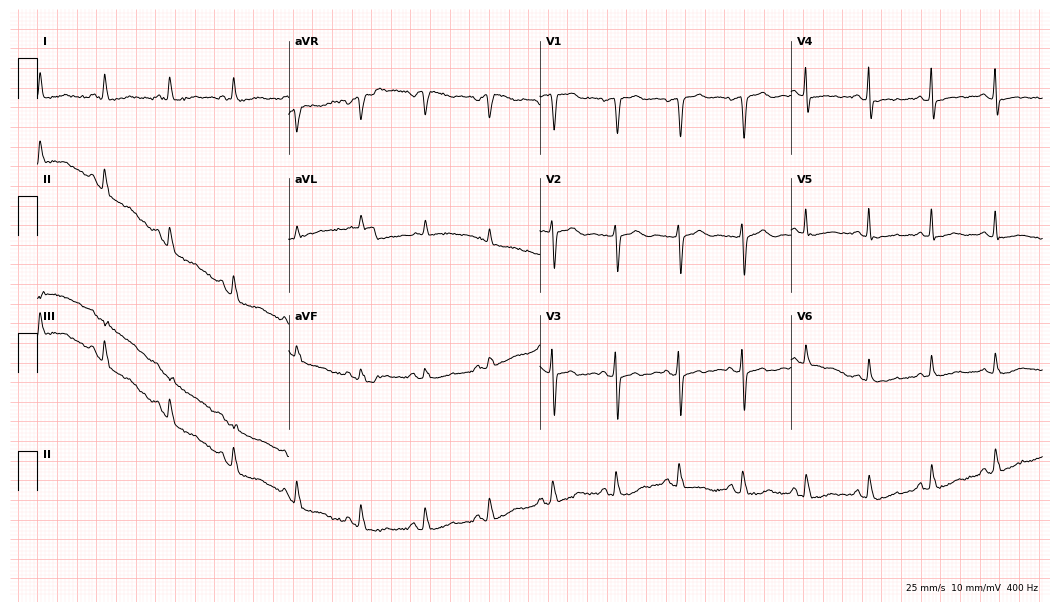
ECG (10.2-second recording at 400 Hz) — a female, 67 years old. Screened for six findings — first-degree AV block, right bundle branch block, left bundle branch block, sinus bradycardia, atrial fibrillation, sinus tachycardia — none is recorded.